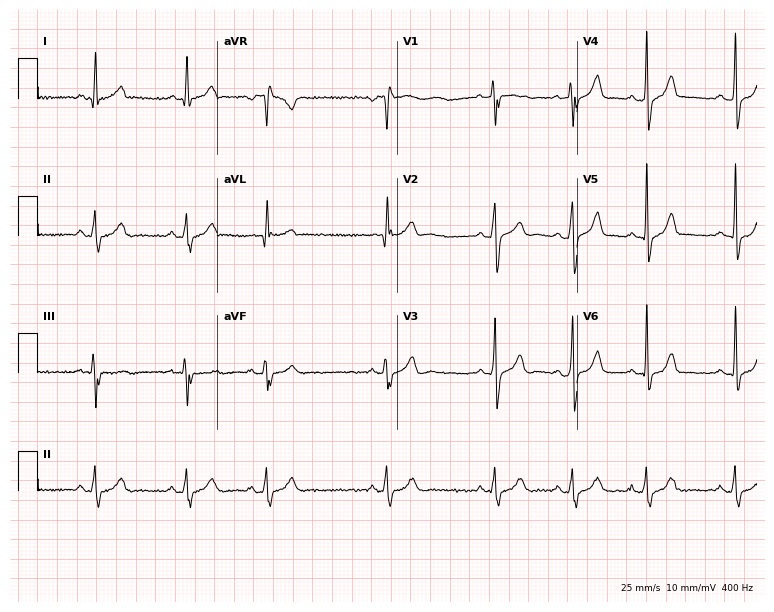
Electrocardiogram, a 19-year-old male patient. Overall reading on record: normal ECG.